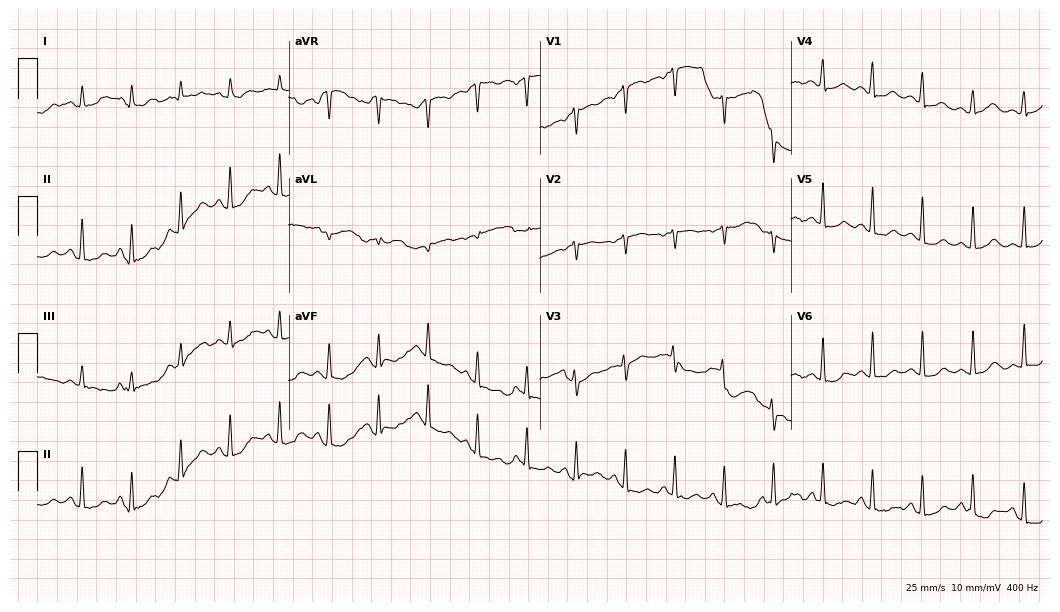
Standard 12-lead ECG recorded from a 42-year-old female. None of these six findings is recorded: first-degree AV block, right bundle branch block (RBBB), left bundle branch block (LBBB), sinus bradycardia, atrial fibrillation (AF), sinus tachycardia.